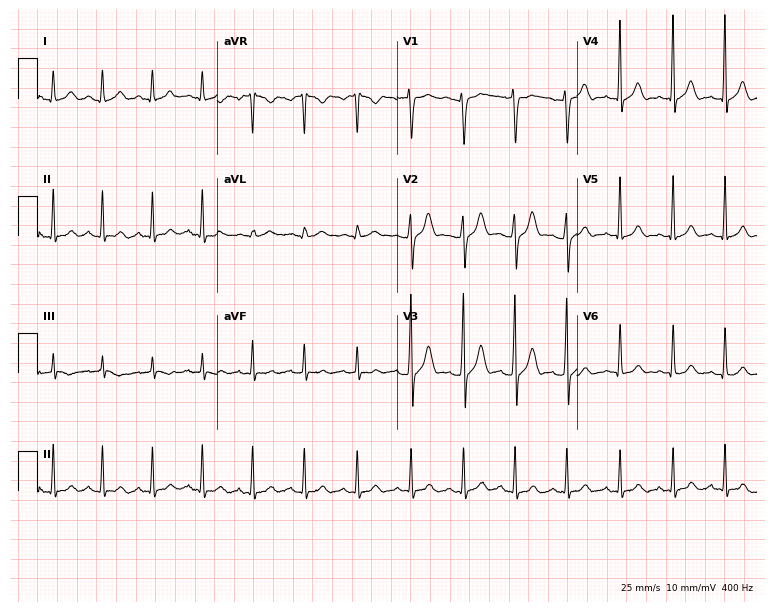
Standard 12-lead ECG recorded from a male patient, 23 years old. The tracing shows sinus tachycardia (a sinus rate of 100 beats per minute or more).